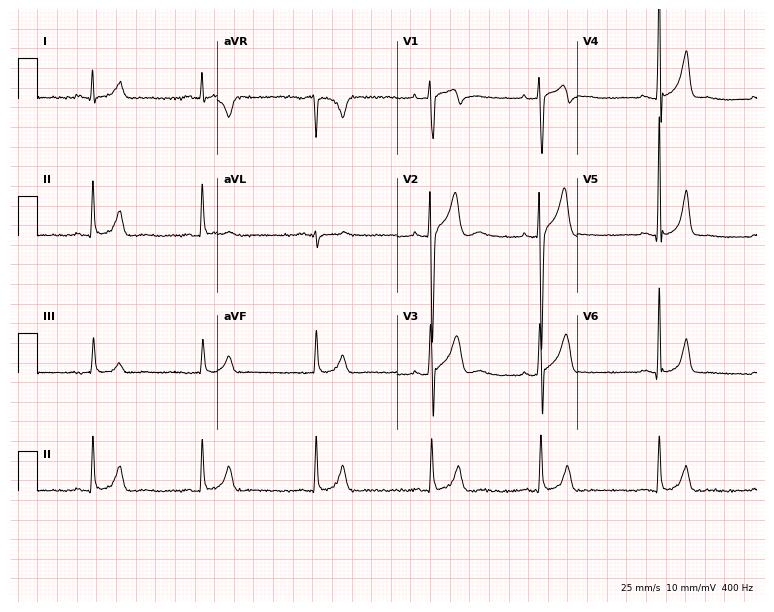
12-lead ECG from a 24-year-old male patient (7.3-second recording at 400 Hz). No first-degree AV block, right bundle branch block (RBBB), left bundle branch block (LBBB), sinus bradycardia, atrial fibrillation (AF) or sinus tachycardia recorded for this tracing. Other findings, if any, are not listed.